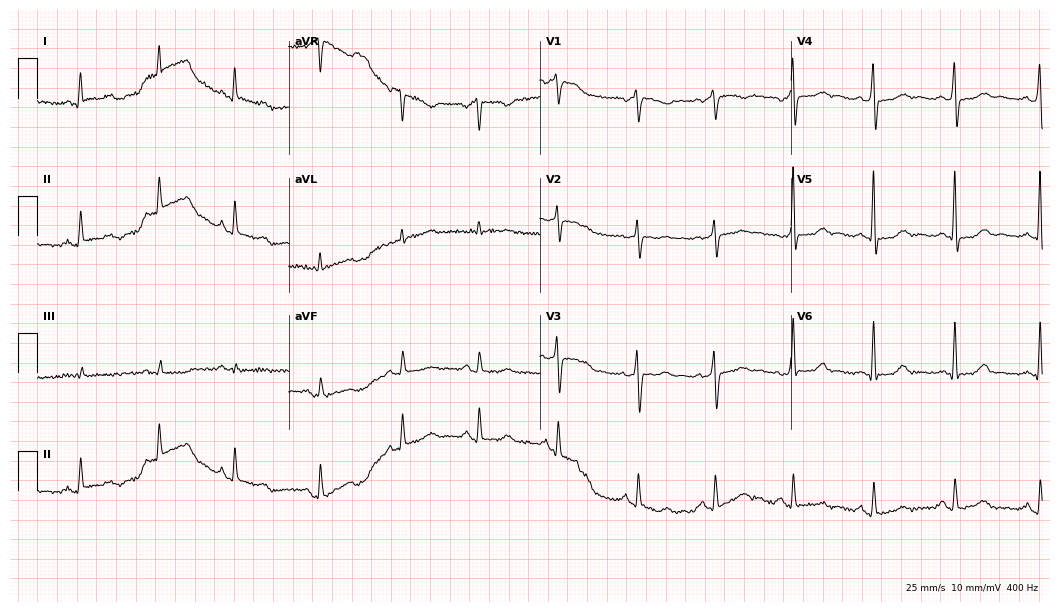
Resting 12-lead electrocardiogram. Patient: a 57-year-old woman. Read as a normal ECG.